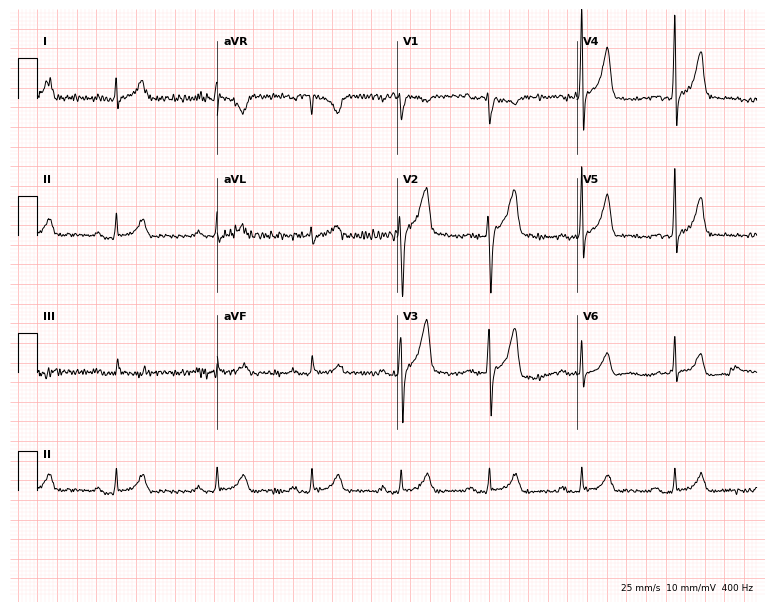
Resting 12-lead electrocardiogram. Patient: a male, 47 years old. None of these six findings is recorded: first-degree AV block, right bundle branch block, left bundle branch block, sinus bradycardia, atrial fibrillation, sinus tachycardia. Findings outside these six are not listed.